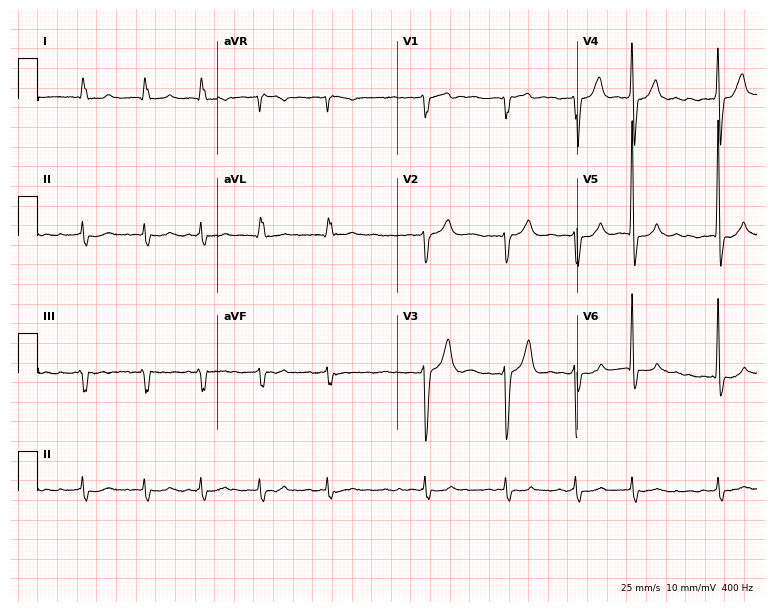
Standard 12-lead ECG recorded from a man, 68 years old (7.3-second recording at 400 Hz). The tracing shows atrial fibrillation.